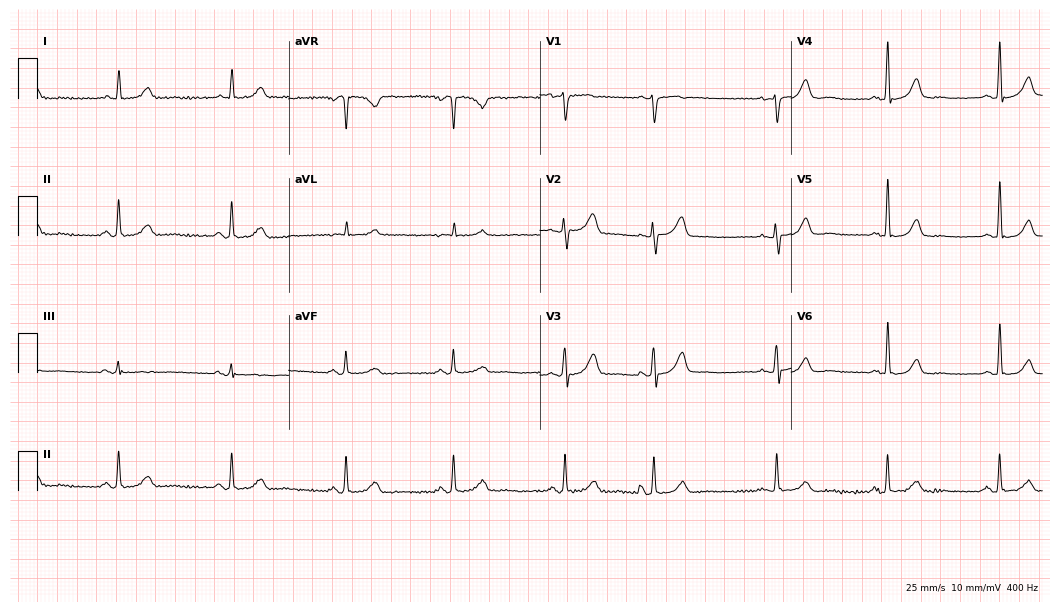
12-lead ECG from a 64-year-old female patient. Screened for six findings — first-degree AV block, right bundle branch block, left bundle branch block, sinus bradycardia, atrial fibrillation, sinus tachycardia — none is recorded.